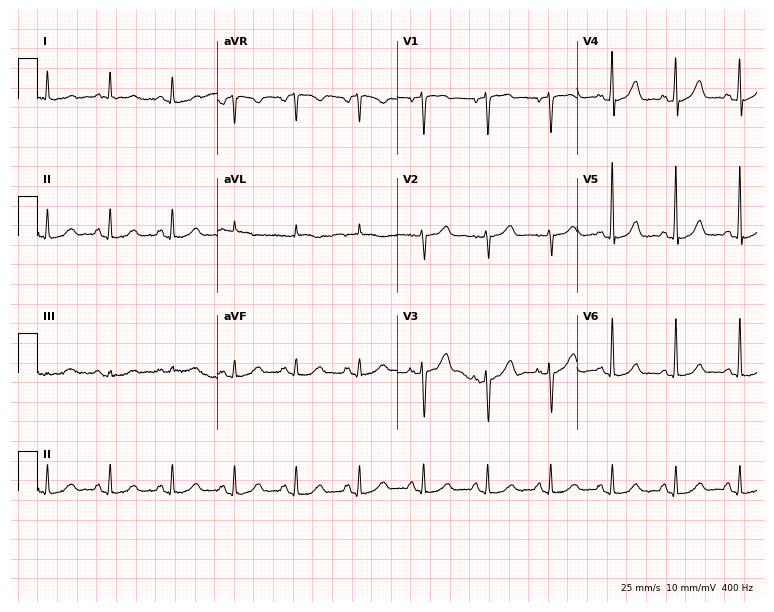
ECG — a 58-year-old female patient. Labelled as a normal ECG.